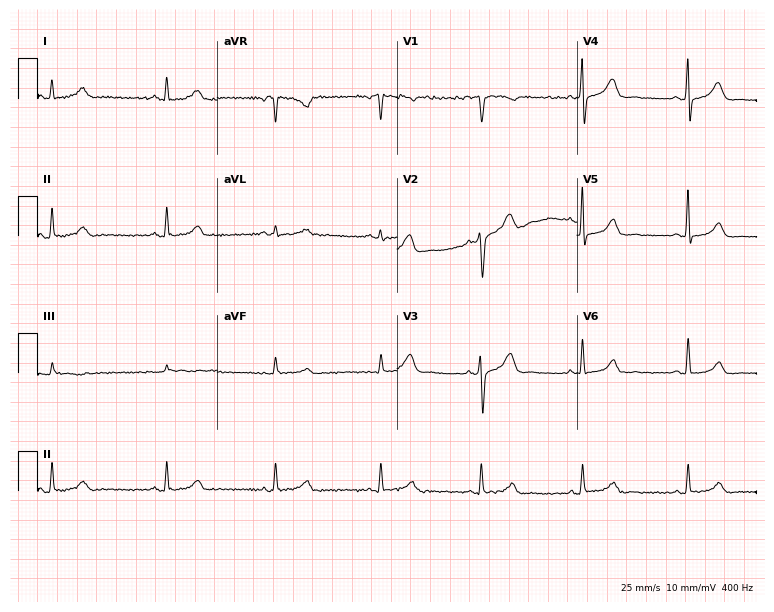
ECG (7.3-second recording at 400 Hz) — a 41-year-old female. Screened for six findings — first-degree AV block, right bundle branch block, left bundle branch block, sinus bradycardia, atrial fibrillation, sinus tachycardia — none is recorded.